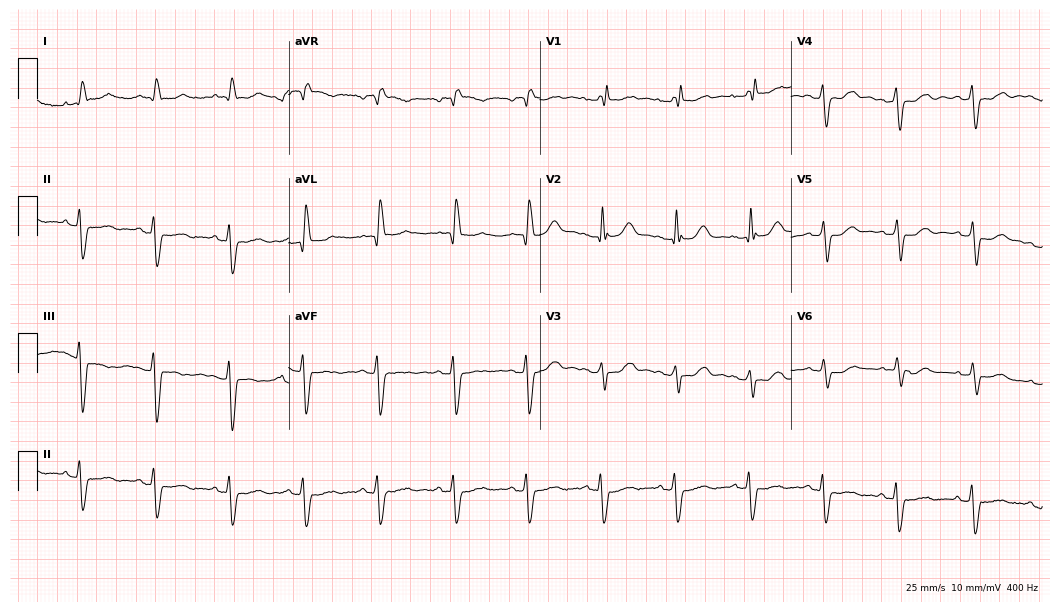
Electrocardiogram, a 71-year-old male patient. Interpretation includes right bundle branch block (RBBB).